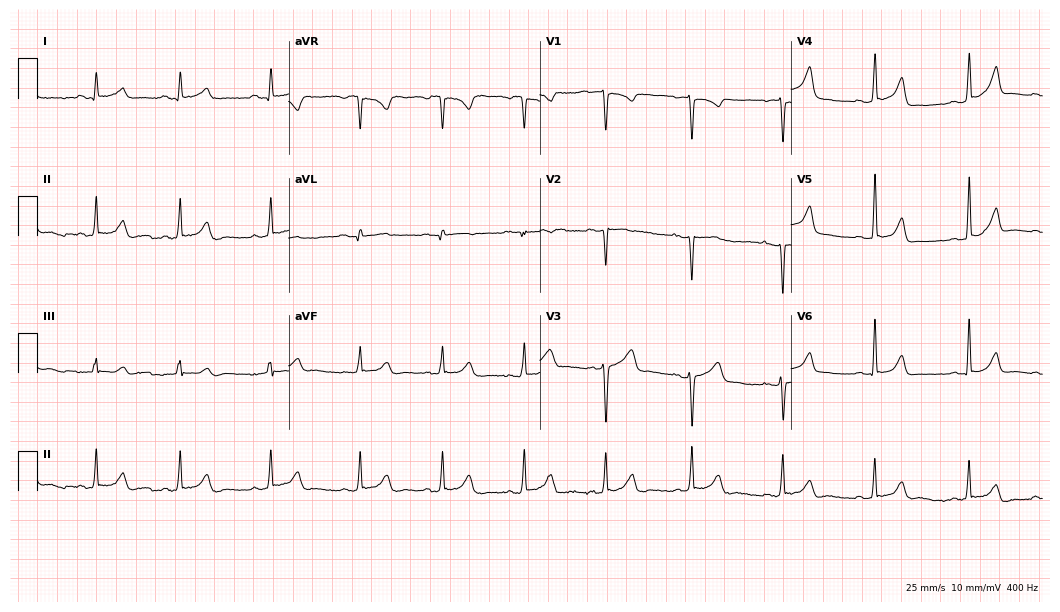
ECG (10.2-second recording at 400 Hz) — a 30-year-old woman. Labelled as a normal ECG.